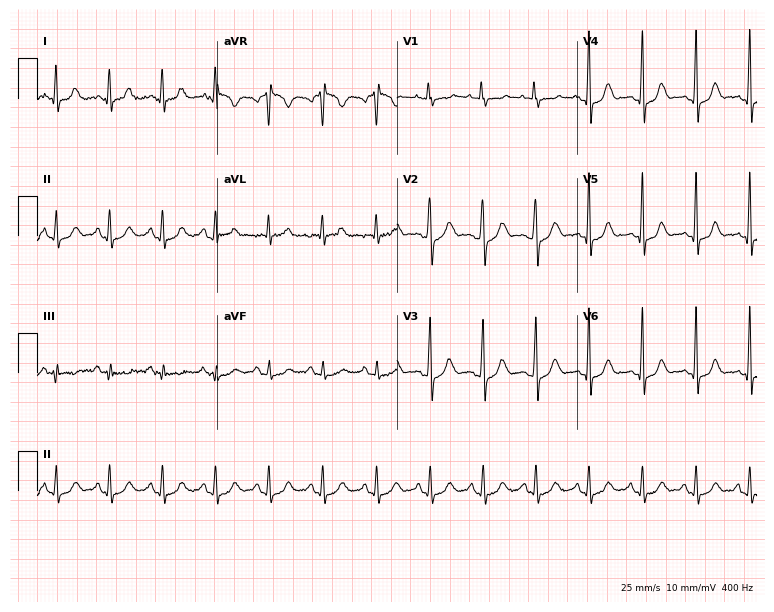
Resting 12-lead electrocardiogram. Patient: a 36-year-old female. The tracing shows sinus tachycardia (a sinus rate of 100 beats per minute or more).